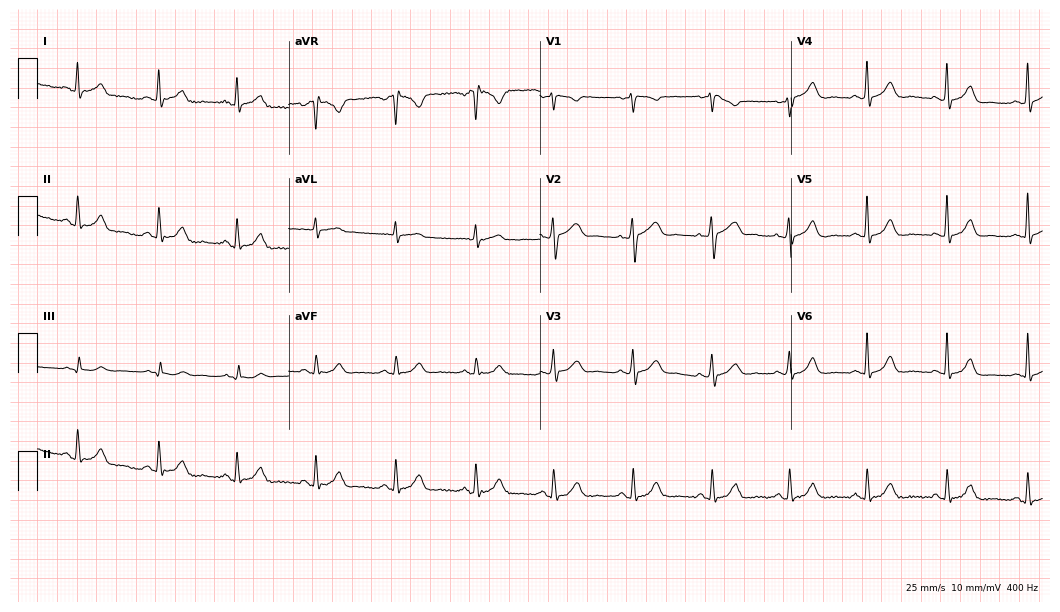
12-lead ECG from a 57-year-old female. Recorded interpretation: within normal limits.